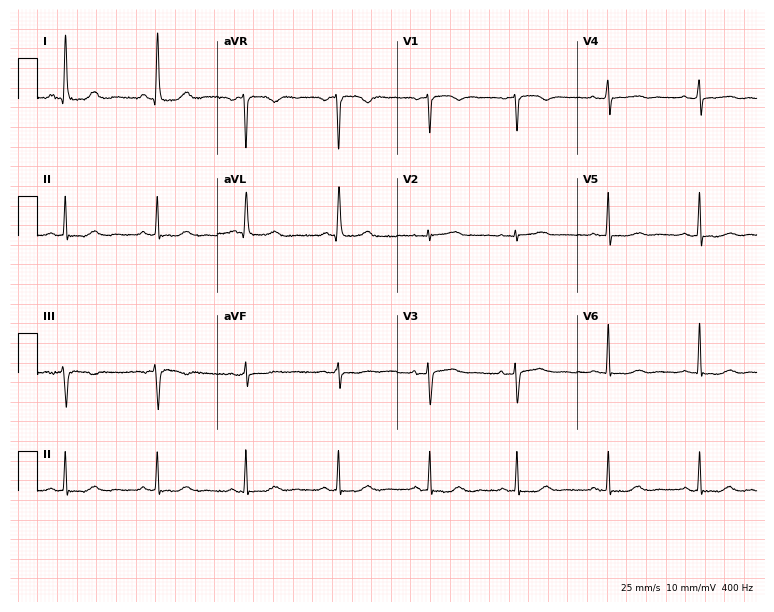
Resting 12-lead electrocardiogram. Patient: a female, 70 years old. None of these six findings is recorded: first-degree AV block, right bundle branch block, left bundle branch block, sinus bradycardia, atrial fibrillation, sinus tachycardia. Findings outside these six are not listed.